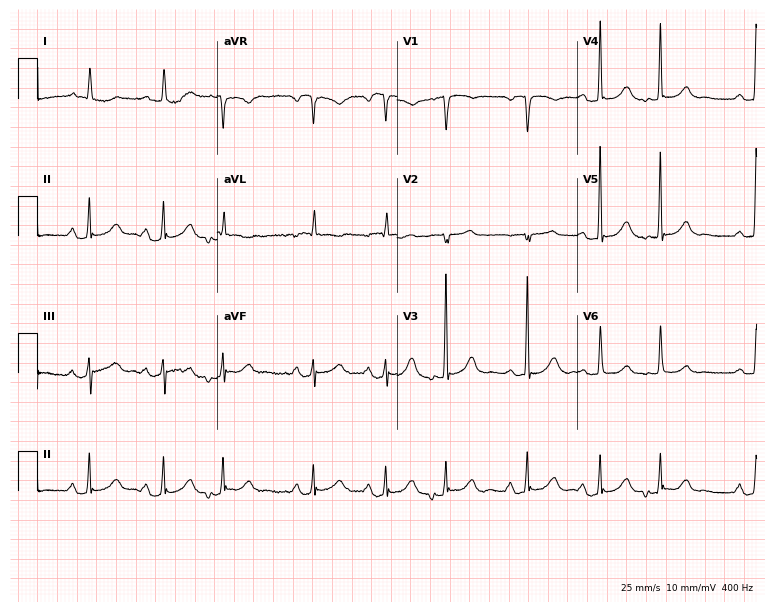
12-lead ECG from an 85-year-old female patient. Screened for six findings — first-degree AV block, right bundle branch block, left bundle branch block, sinus bradycardia, atrial fibrillation, sinus tachycardia — none is recorded. Only these six findings were labelled.